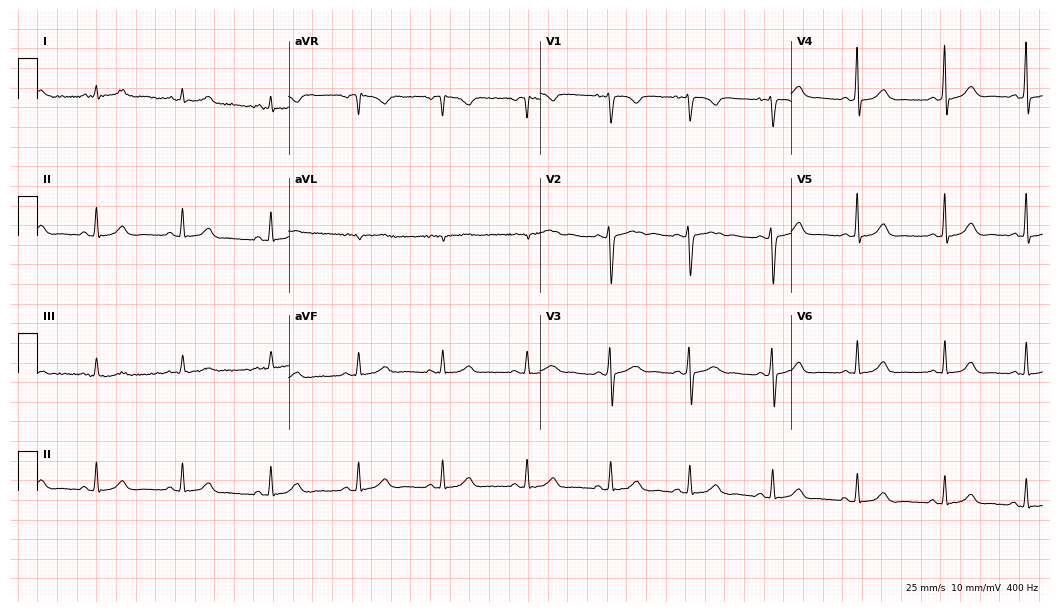
Standard 12-lead ECG recorded from a 24-year-old female. Read as a normal ECG.